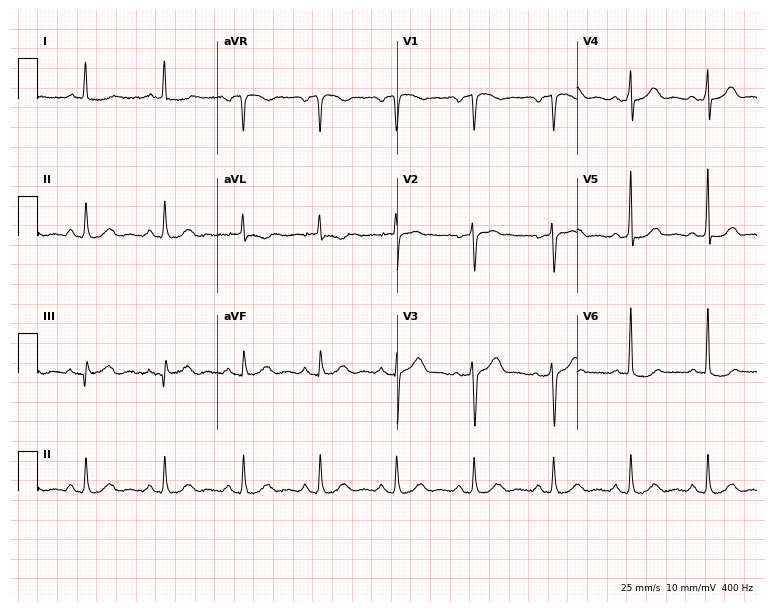
Resting 12-lead electrocardiogram. Patient: a 61-year-old man. None of these six findings is recorded: first-degree AV block, right bundle branch block, left bundle branch block, sinus bradycardia, atrial fibrillation, sinus tachycardia.